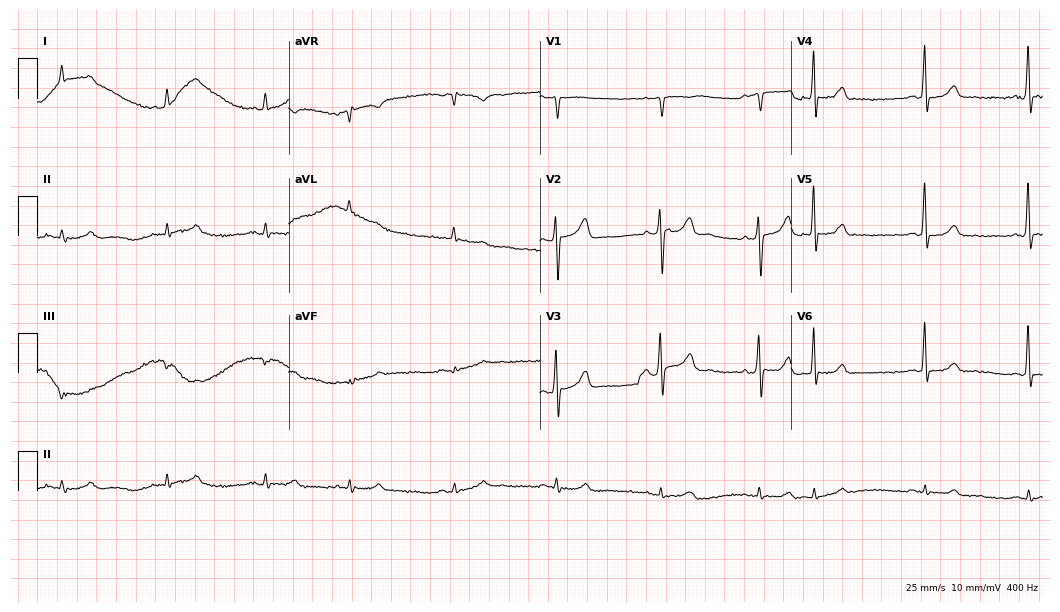
Resting 12-lead electrocardiogram. Patient: a man, 85 years old. None of these six findings is recorded: first-degree AV block, right bundle branch block (RBBB), left bundle branch block (LBBB), sinus bradycardia, atrial fibrillation (AF), sinus tachycardia. Only these six findings were labelled.